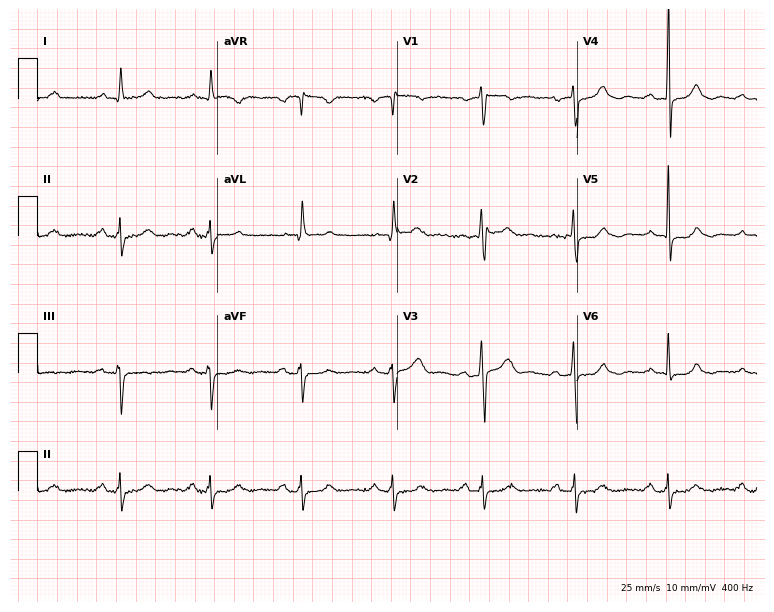
Standard 12-lead ECG recorded from a male patient, 55 years old. None of these six findings is recorded: first-degree AV block, right bundle branch block (RBBB), left bundle branch block (LBBB), sinus bradycardia, atrial fibrillation (AF), sinus tachycardia.